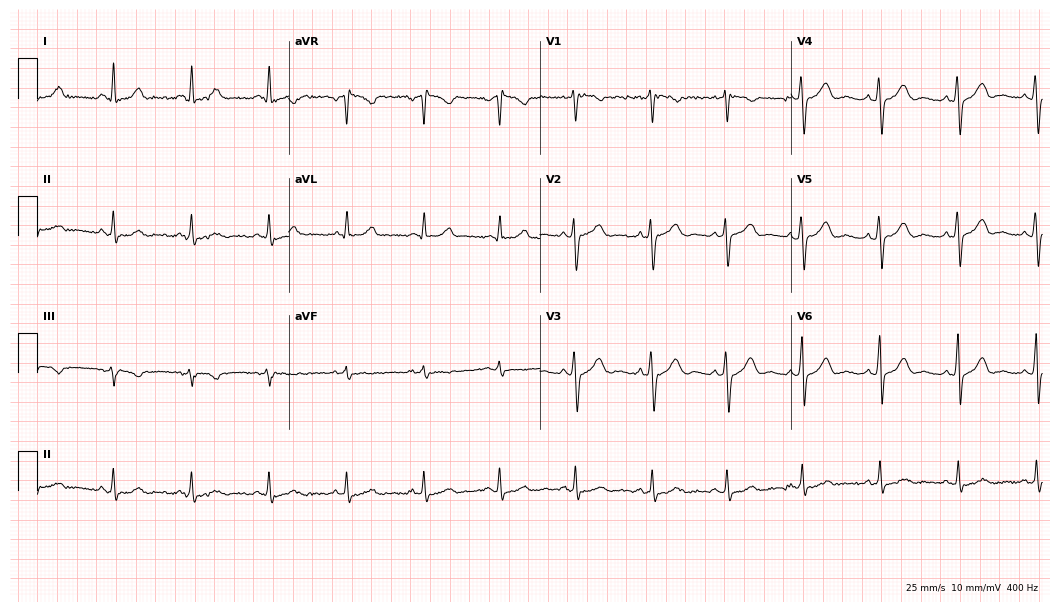
Standard 12-lead ECG recorded from a 36-year-old male (10.2-second recording at 400 Hz). None of these six findings is recorded: first-degree AV block, right bundle branch block (RBBB), left bundle branch block (LBBB), sinus bradycardia, atrial fibrillation (AF), sinus tachycardia.